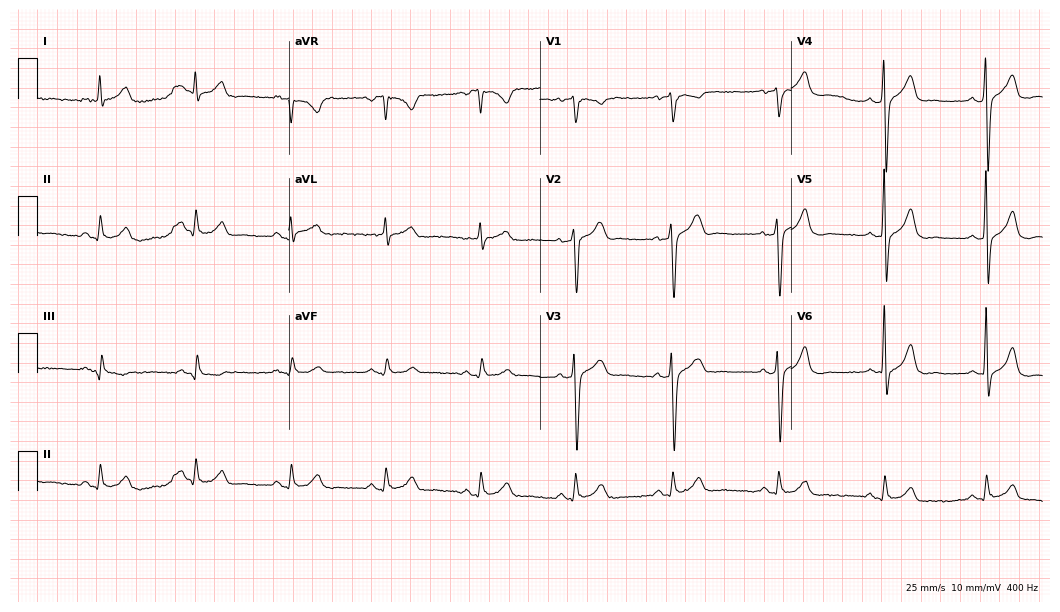
ECG (10.2-second recording at 400 Hz) — a man, 54 years old. Labelled as a normal ECG.